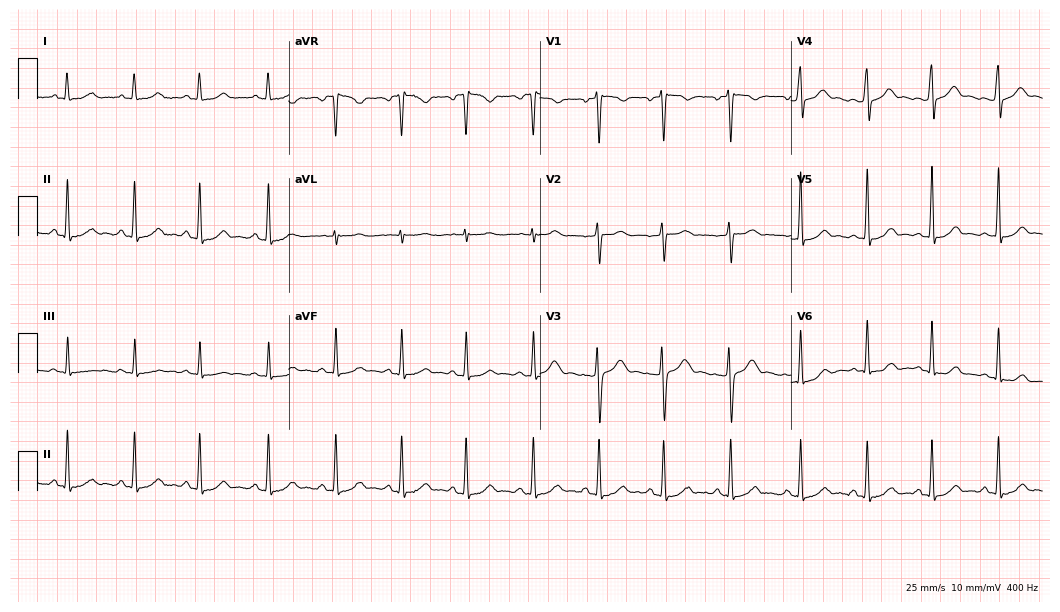
12-lead ECG from a female patient, 29 years old (10.2-second recording at 400 Hz). No first-degree AV block, right bundle branch block (RBBB), left bundle branch block (LBBB), sinus bradycardia, atrial fibrillation (AF) or sinus tachycardia recorded for this tracing. Other findings, if any, are not listed.